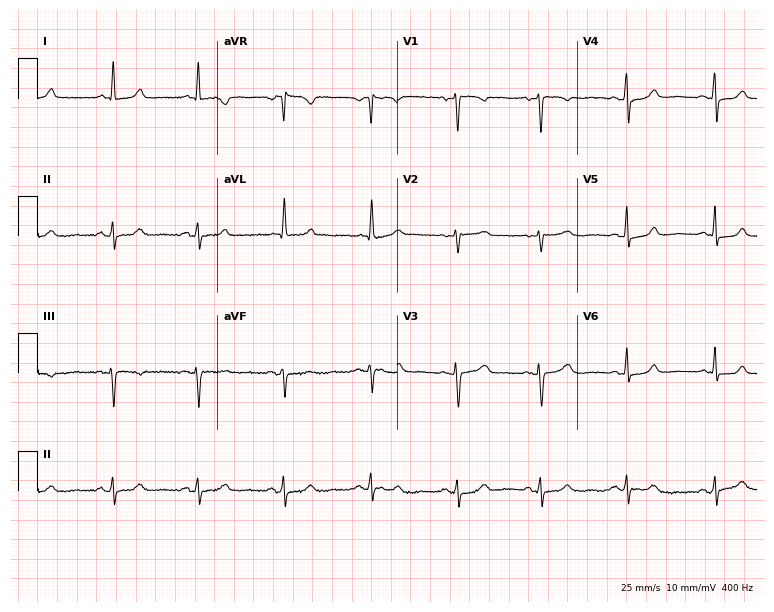
Resting 12-lead electrocardiogram. Patient: a female, 50 years old. None of these six findings is recorded: first-degree AV block, right bundle branch block, left bundle branch block, sinus bradycardia, atrial fibrillation, sinus tachycardia. Other findings, if any, are not listed.